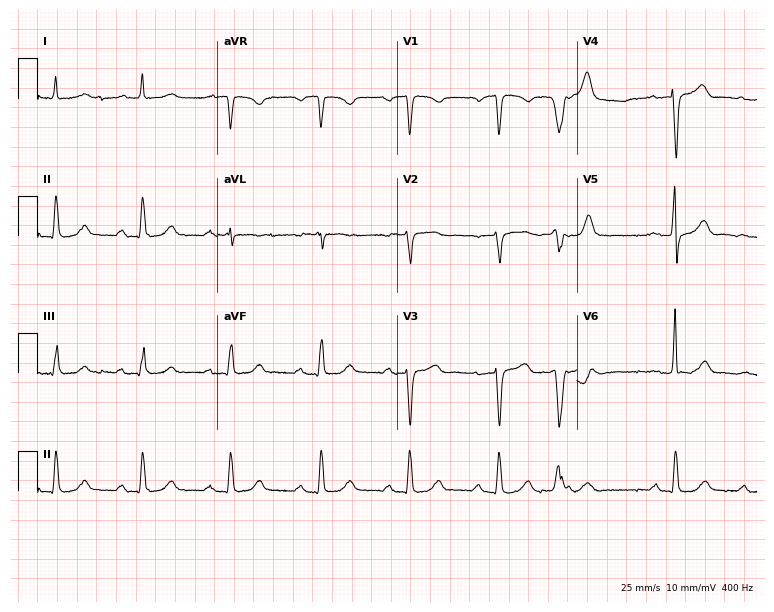
12-lead ECG from a 78-year-old male patient (7.3-second recording at 400 Hz). Shows first-degree AV block.